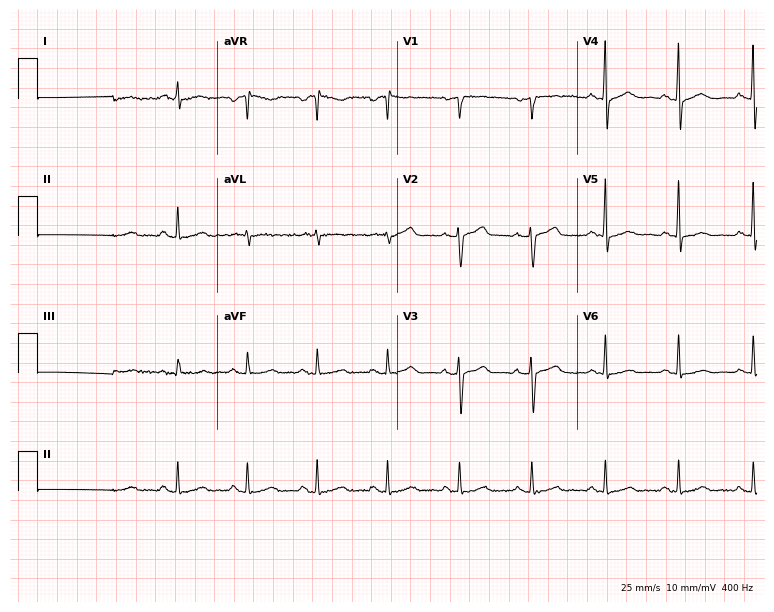
Electrocardiogram (7.3-second recording at 400 Hz), a man, 50 years old. Overall reading on record: normal ECG.